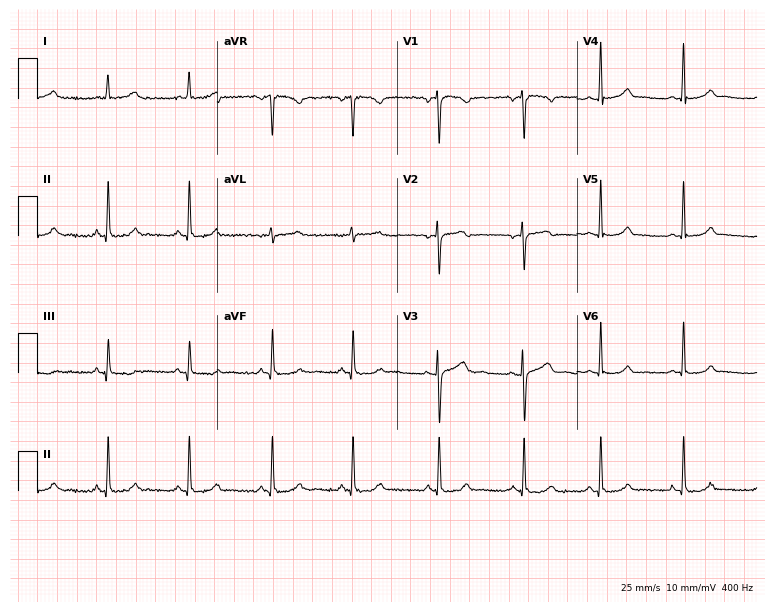
Standard 12-lead ECG recorded from a woman, 37 years old (7.3-second recording at 400 Hz). None of these six findings is recorded: first-degree AV block, right bundle branch block (RBBB), left bundle branch block (LBBB), sinus bradycardia, atrial fibrillation (AF), sinus tachycardia. Only these six findings were labelled.